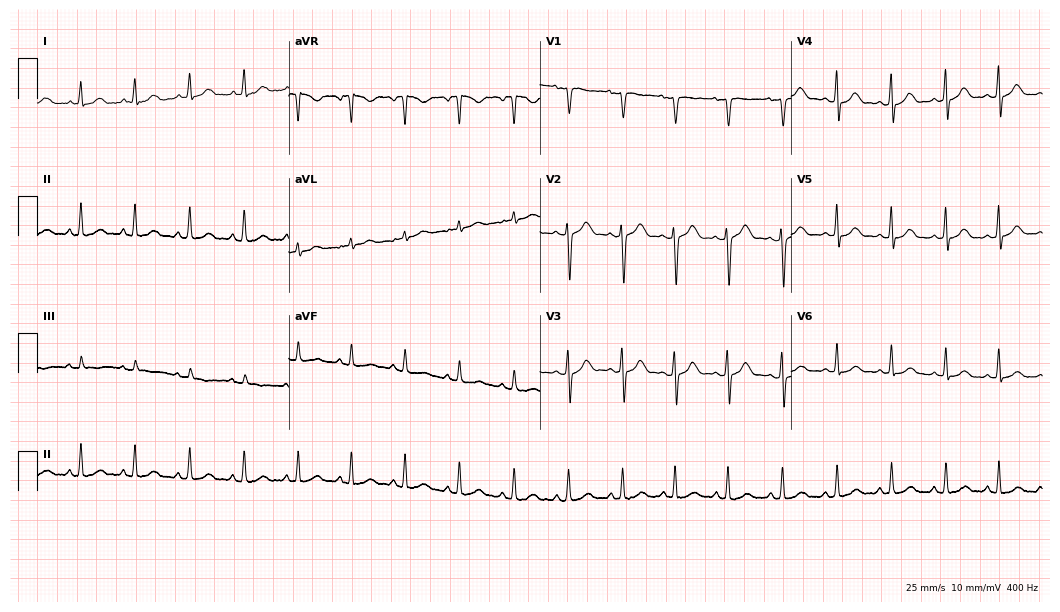
Standard 12-lead ECG recorded from a female, 35 years old. The tracing shows sinus tachycardia (a sinus rate of 100 beats per minute or more).